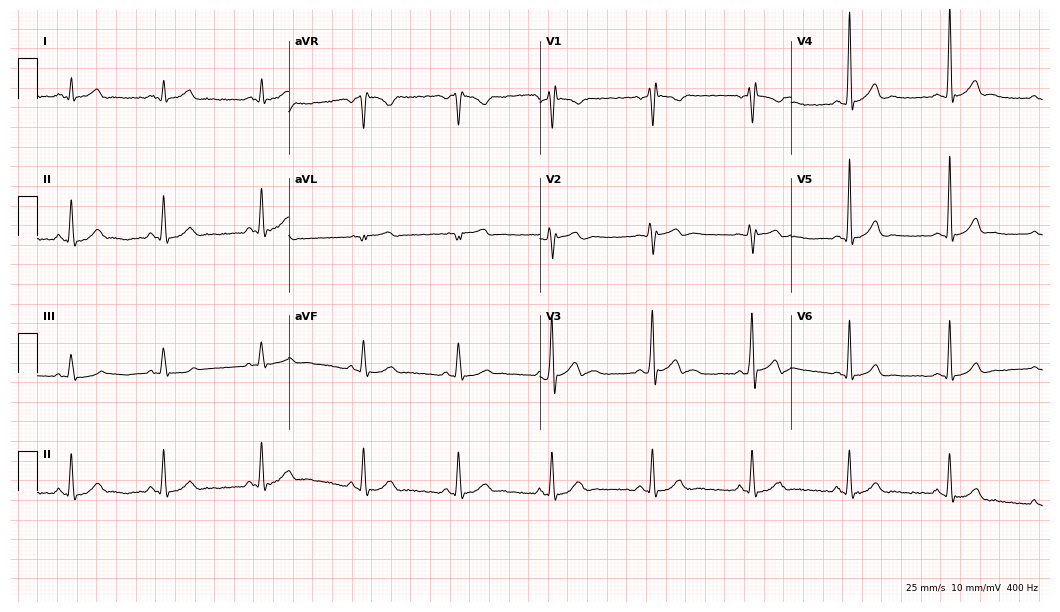
Standard 12-lead ECG recorded from a man, 19 years old. None of these six findings is recorded: first-degree AV block, right bundle branch block, left bundle branch block, sinus bradycardia, atrial fibrillation, sinus tachycardia. Only these six findings were labelled.